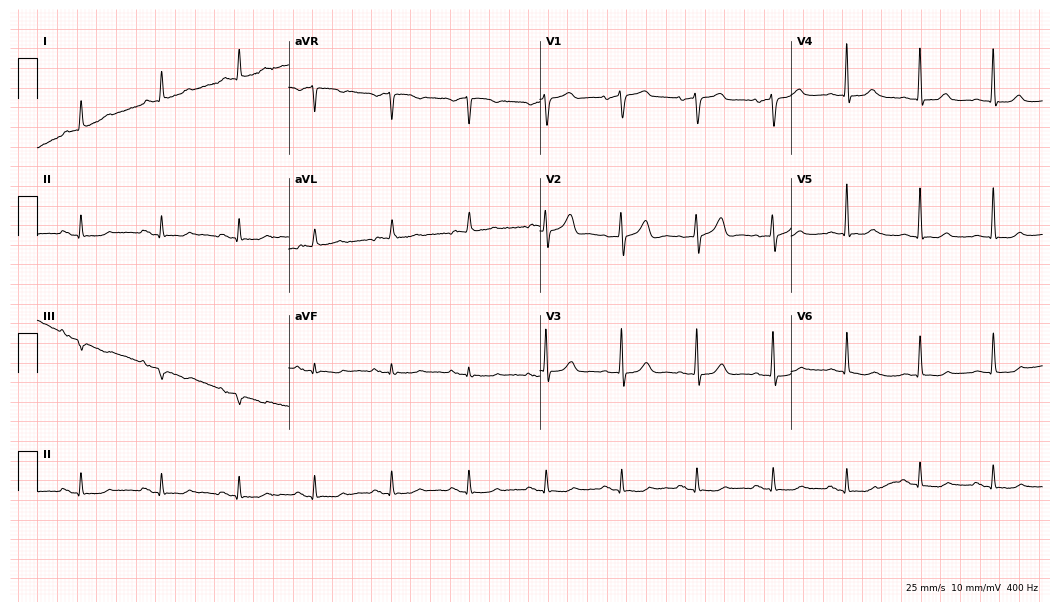
12-lead ECG from a female patient, 78 years old. Recorded interpretation: within normal limits.